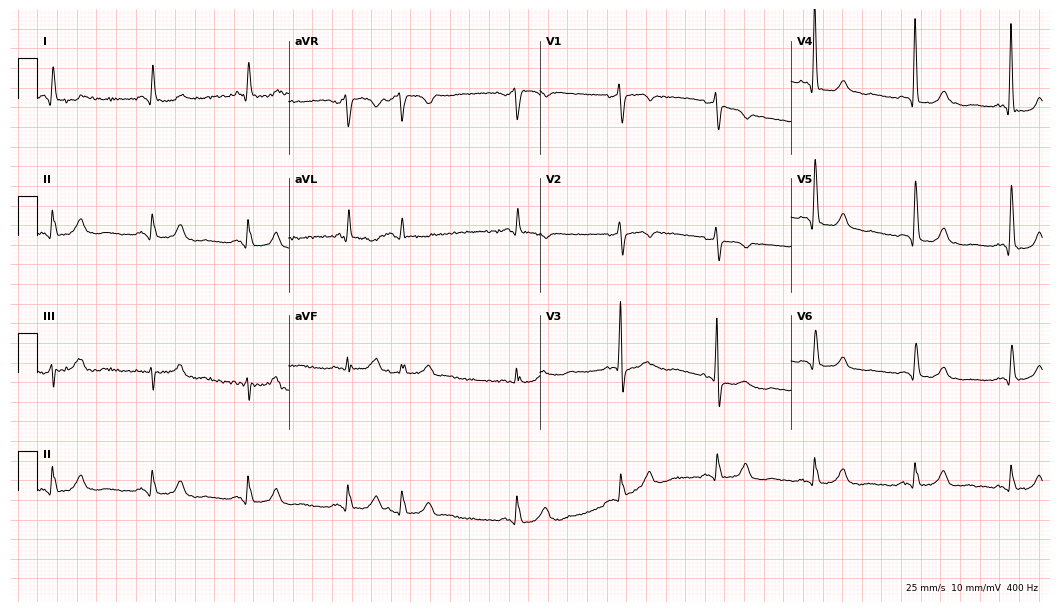
Resting 12-lead electrocardiogram. Patient: a female, 74 years old. None of these six findings is recorded: first-degree AV block, right bundle branch block (RBBB), left bundle branch block (LBBB), sinus bradycardia, atrial fibrillation (AF), sinus tachycardia. Only these six findings were labelled.